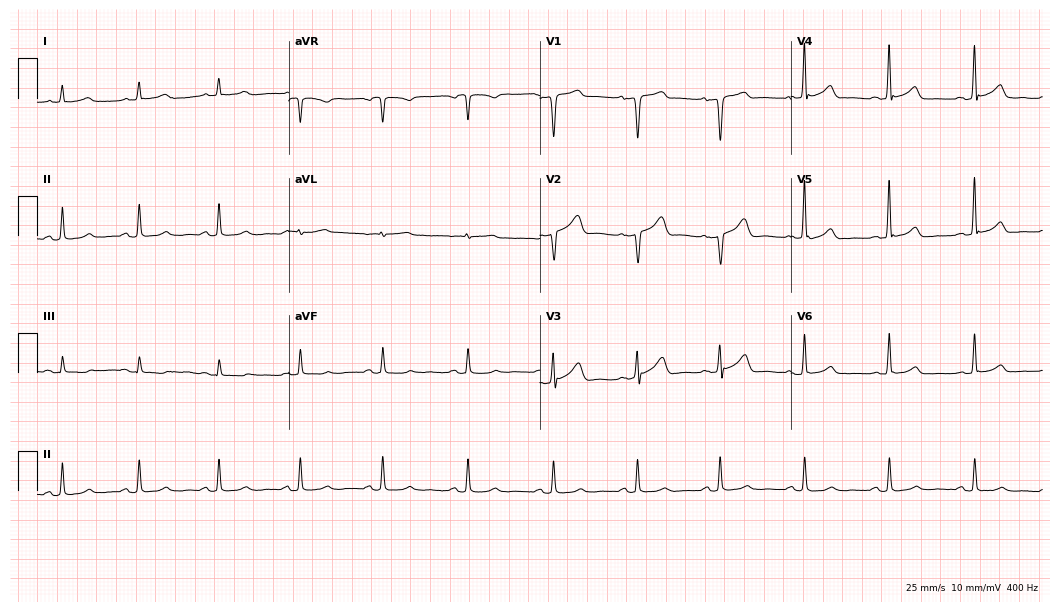
Resting 12-lead electrocardiogram. Patient: a male, 69 years old. None of these six findings is recorded: first-degree AV block, right bundle branch block, left bundle branch block, sinus bradycardia, atrial fibrillation, sinus tachycardia.